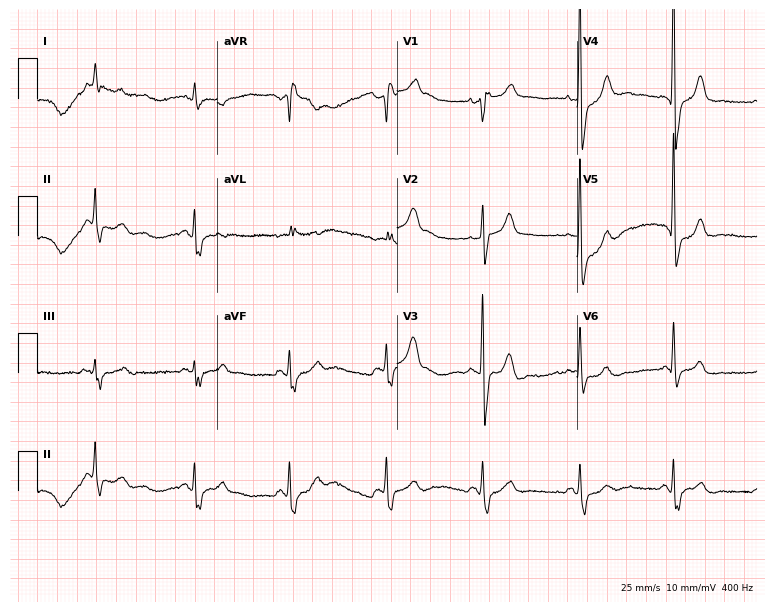
Electrocardiogram, a 69-year-old man. Interpretation includes right bundle branch block (RBBB).